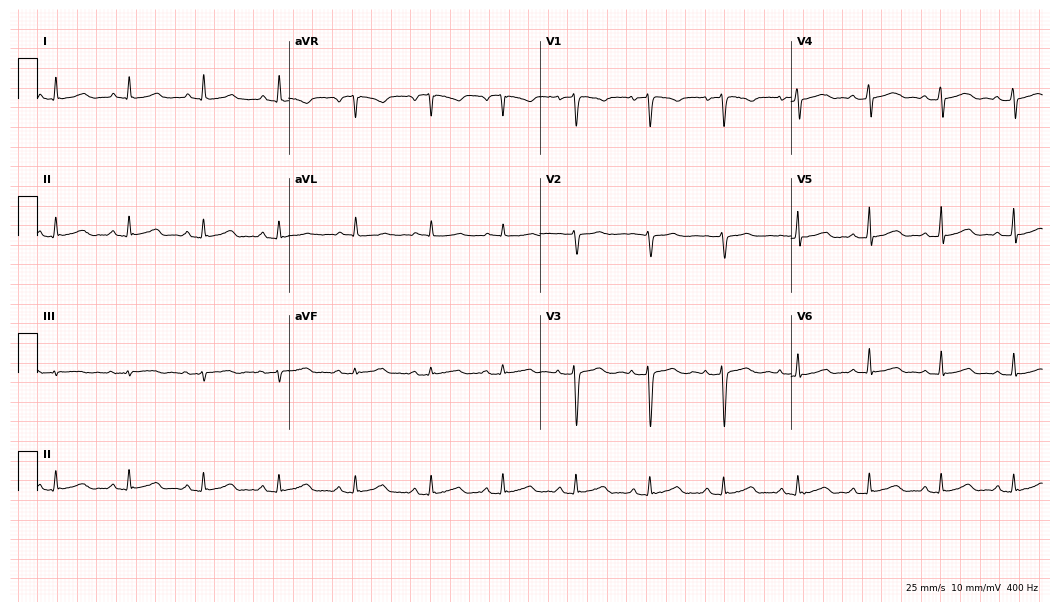
12-lead ECG from a woman, 40 years old. Recorded interpretation: within normal limits.